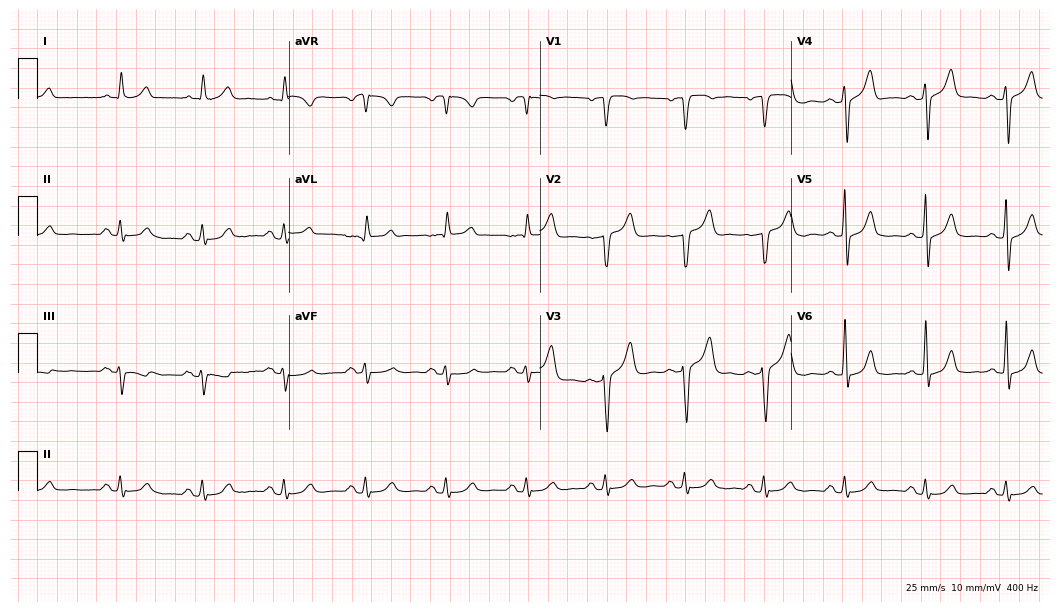
Resting 12-lead electrocardiogram. Patient: a male, 73 years old. None of these six findings is recorded: first-degree AV block, right bundle branch block, left bundle branch block, sinus bradycardia, atrial fibrillation, sinus tachycardia. Other findings, if any, are not listed.